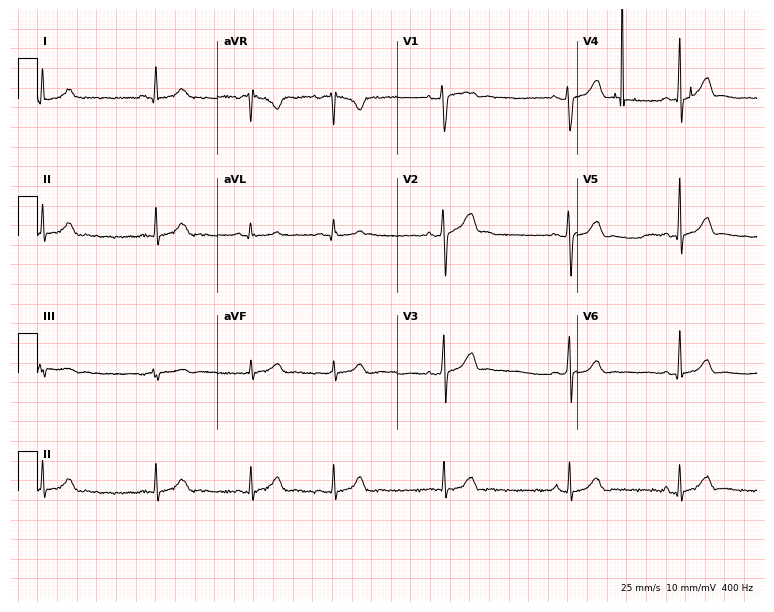
Standard 12-lead ECG recorded from a female patient, 26 years old. Read as a normal ECG.